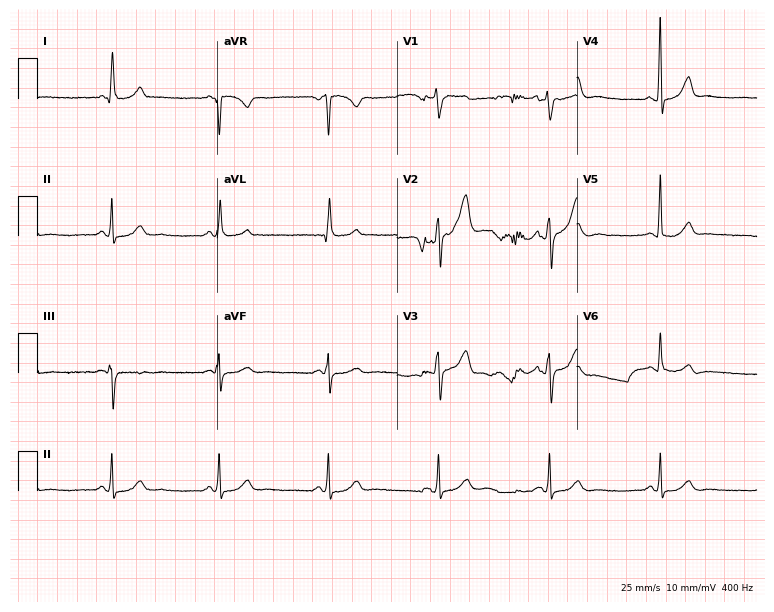
12-lead ECG from a 61-year-old man (7.3-second recording at 400 Hz). Recorded interpretation: within normal limits.